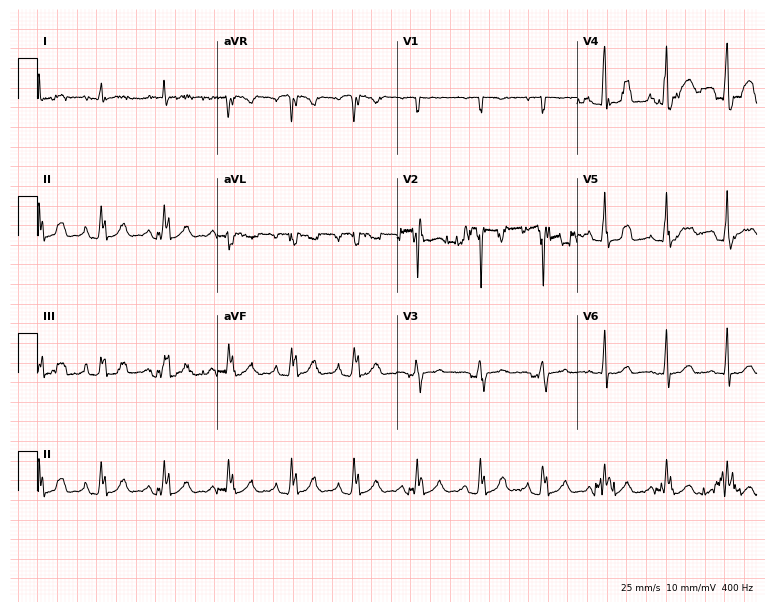
ECG (7.3-second recording at 400 Hz) — a 35-year-old woman. Screened for six findings — first-degree AV block, right bundle branch block, left bundle branch block, sinus bradycardia, atrial fibrillation, sinus tachycardia — none is recorded. Other findings, if any, are not listed.